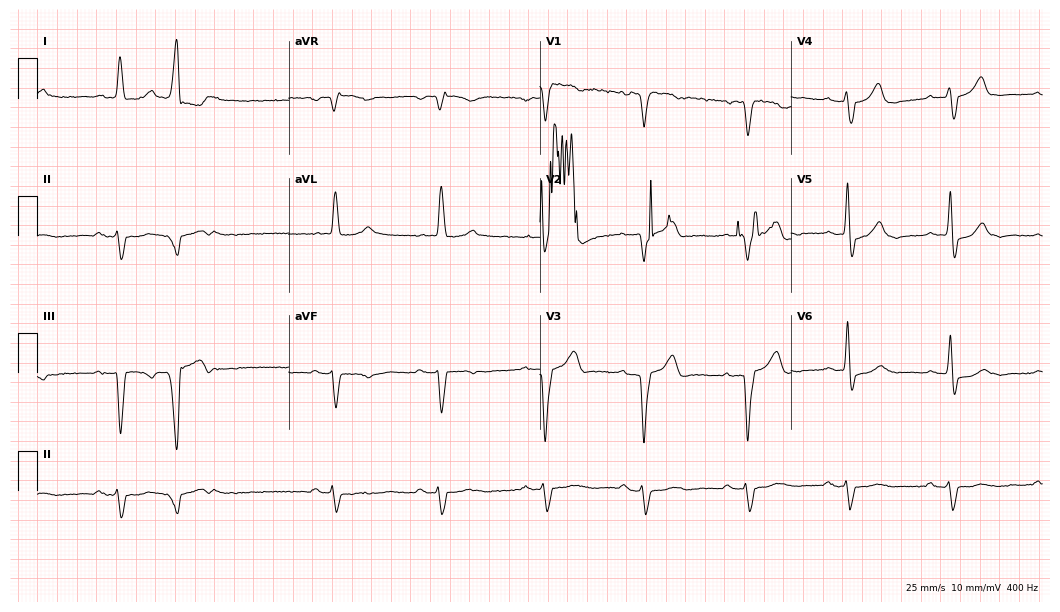
Standard 12-lead ECG recorded from a 79-year-old male patient. The tracing shows left bundle branch block (LBBB).